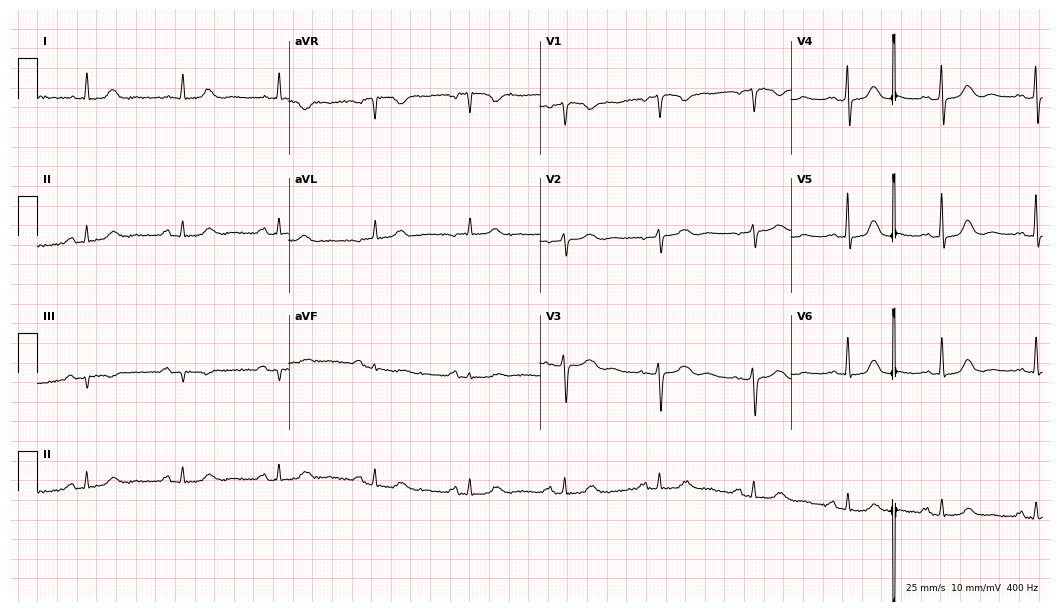
Standard 12-lead ECG recorded from a female, 80 years old. None of these six findings is recorded: first-degree AV block, right bundle branch block (RBBB), left bundle branch block (LBBB), sinus bradycardia, atrial fibrillation (AF), sinus tachycardia. Only these six findings were labelled.